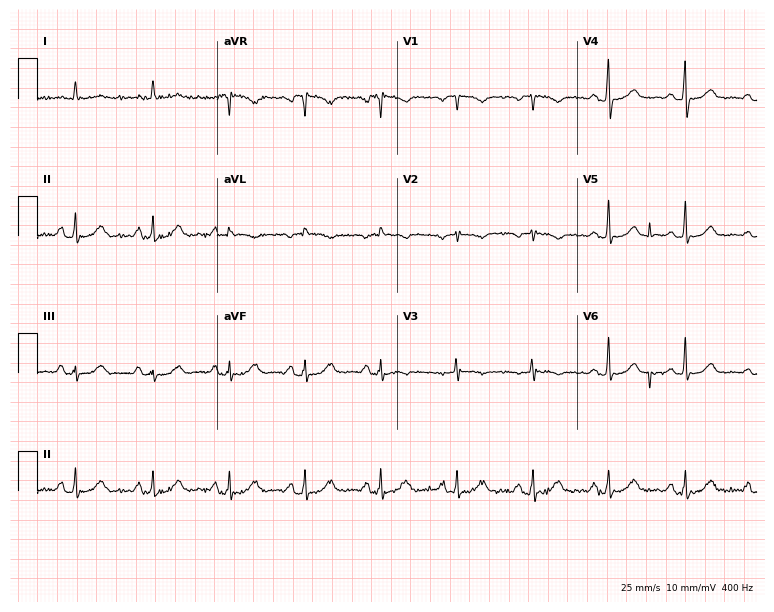
Resting 12-lead electrocardiogram. Patient: a 75-year-old woman. Read as a normal ECG.